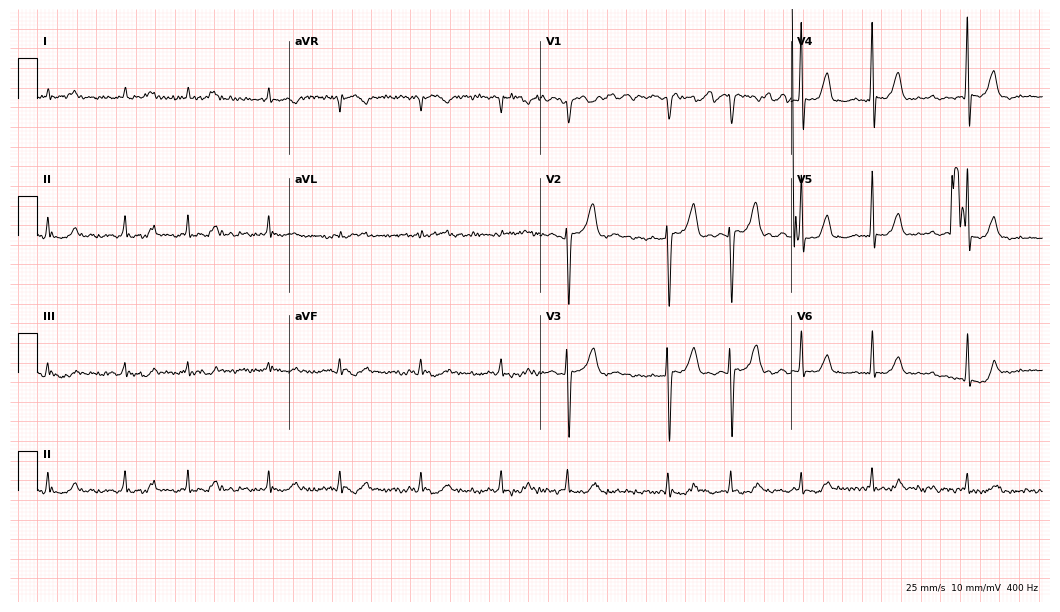
12-lead ECG from a female patient, 77 years old (10.2-second recording at 400 Hz). Shows atrial fibrillation.